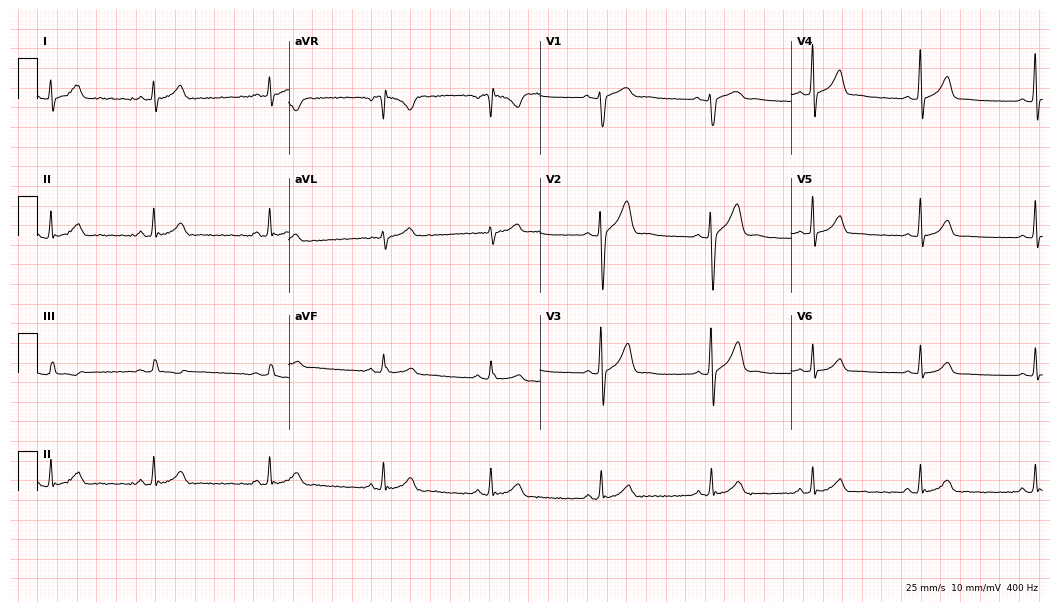
ECG — a 22-year-old male. Screened for six findings — first-degree AV block, right bundle branch block, left bundle branch block, sinus bradycardia, atrial fibrillation, sinus tachycardia — none is recorded. Findings outside these six are not listed.